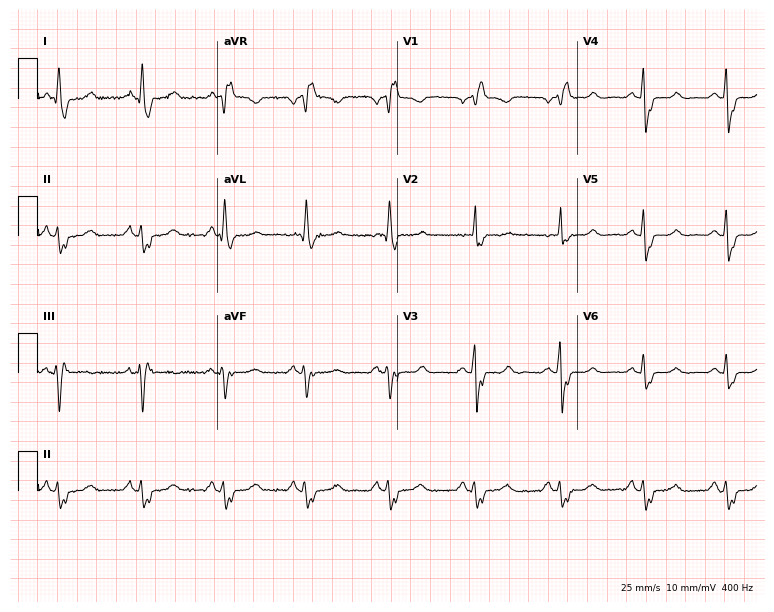
Resting 12-lead electrocardiogram. Patient: a 57-year-old female. The tracing shows right bundle branch block.